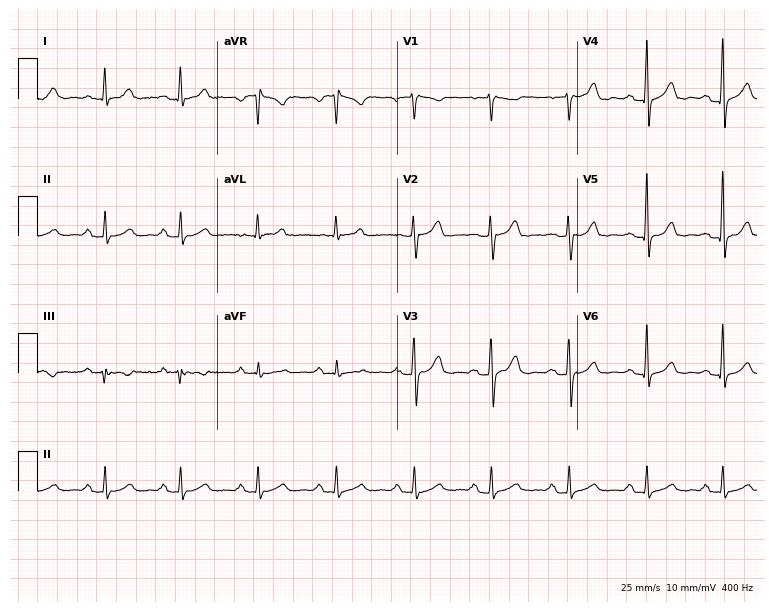
Resting 12-lead electrocardiogram. Patient: a male, 48 years old. Read as a normal ECG.